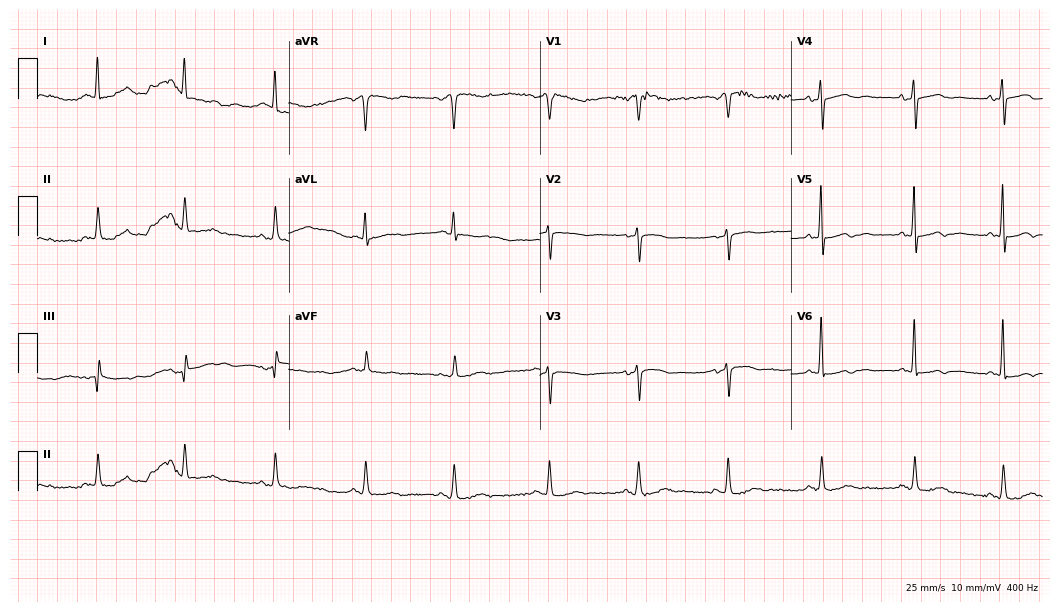
Electrocardiogram (10.2-second recording at 400 Hz), a woman, 83 years old. Of the six screened findings (first-degree AV block, right bundle branch block (RBBB), left bundle branch block (LBBB), sinus bradycardia, atrial fibrillation (AF), sinus tachycardia), none is recorded. Other findings, if any, are not listed.